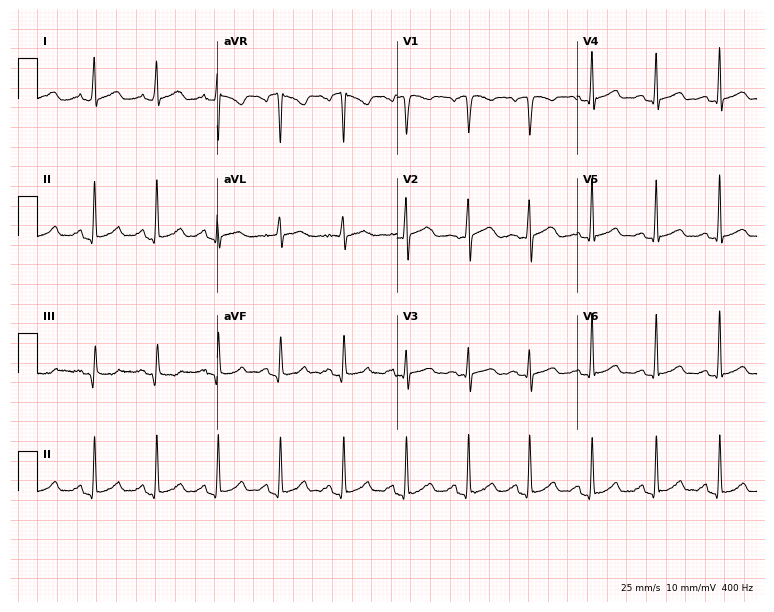
12-lead ECG (7.3-second recording at 400 Hz) from a 51-year-old female patient. Labelled as a normal ECG.